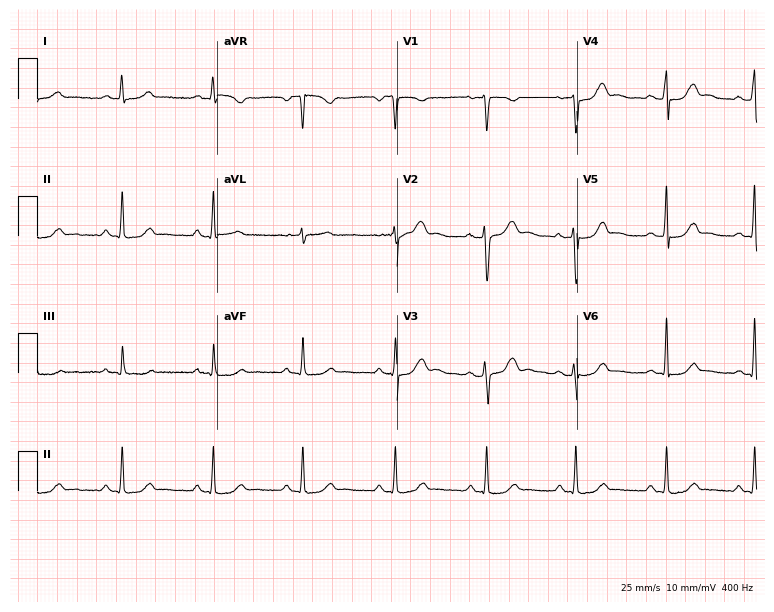
Electrocardiogram, a 35-year-old female. Overall reading on record: normal ECG.